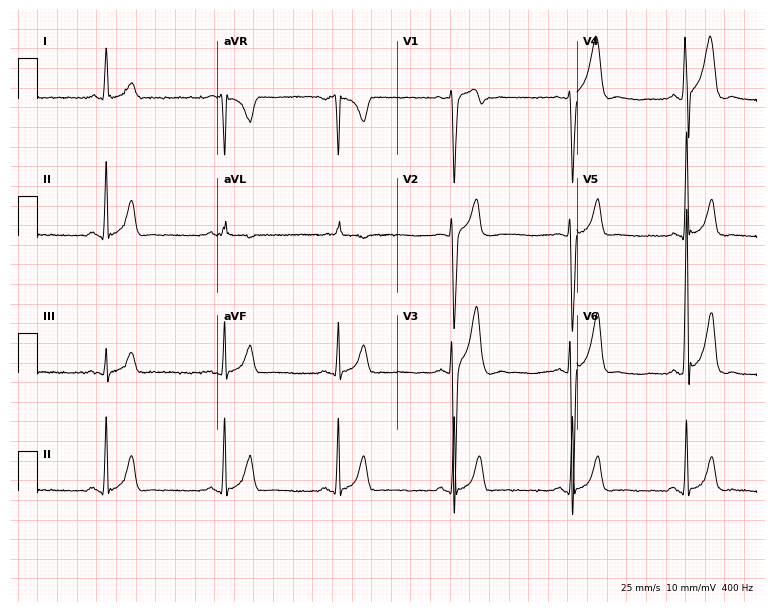
Resting 12-lead electrocardiogram (7.3-second recording at 400 Hz). Patient: a 37-year-old male. Read as a normal ECG.